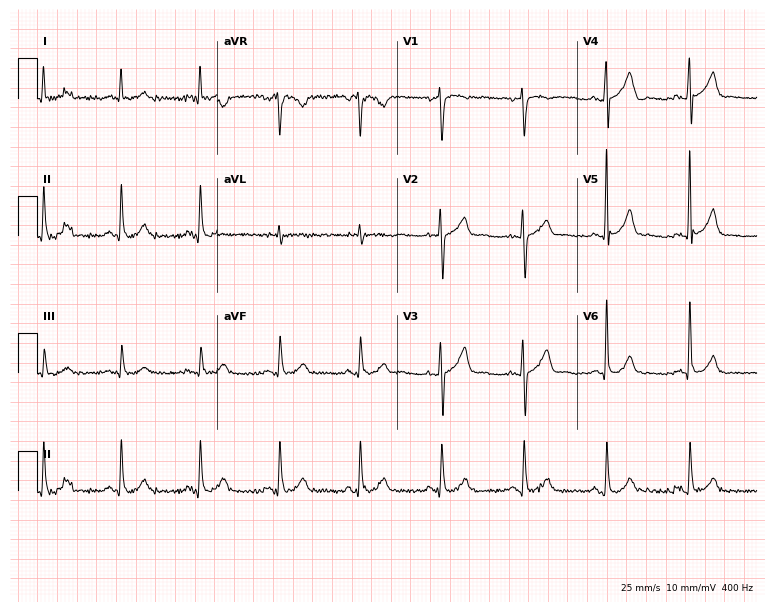
Resting 12-lead electrocardiogram (7.3-second recording at 400 Hz). Patient: a man, 74 years old. None of these six findings is recorded: first-degree AV block, right bundle branch block, left bundle branch block, sinus bradycardia, atrial fibrillation, sinus tachycardia.